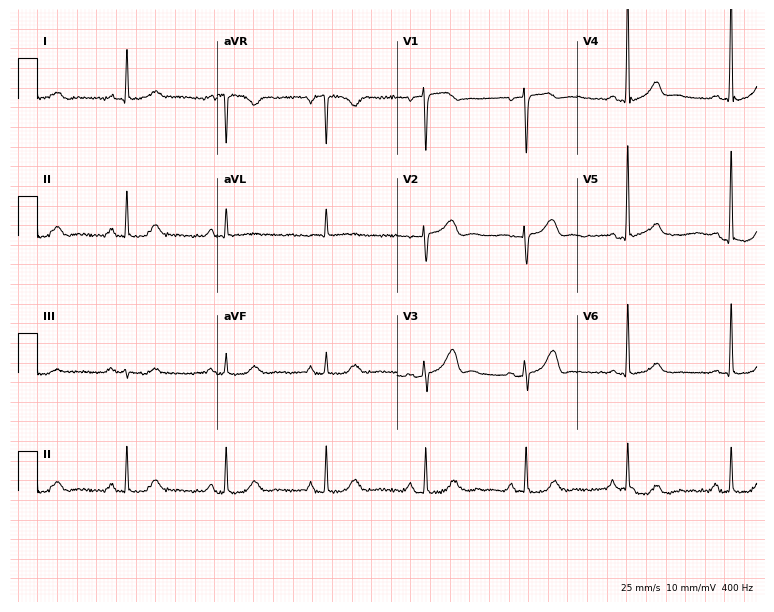
Resting 12-lead electrocardiogram. Patient: a female, 45 years old. None of these six findings is recorded: first-degree AV block, right bundle branch block, left bundle branch block, sinus bradycardia, atrial fibrillation, sinus tachycardia. Findings outside these six are not listed.